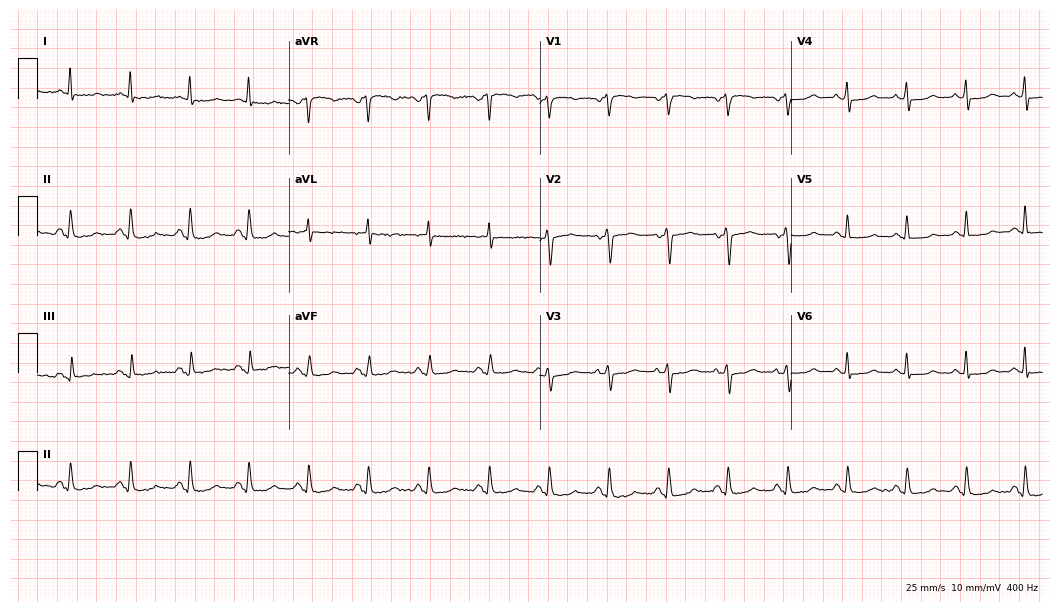
Standard 12-lead ECG recorded from a 61-year-old woman (10.2-second recording at 400 Hz). Read as a normal ECG.